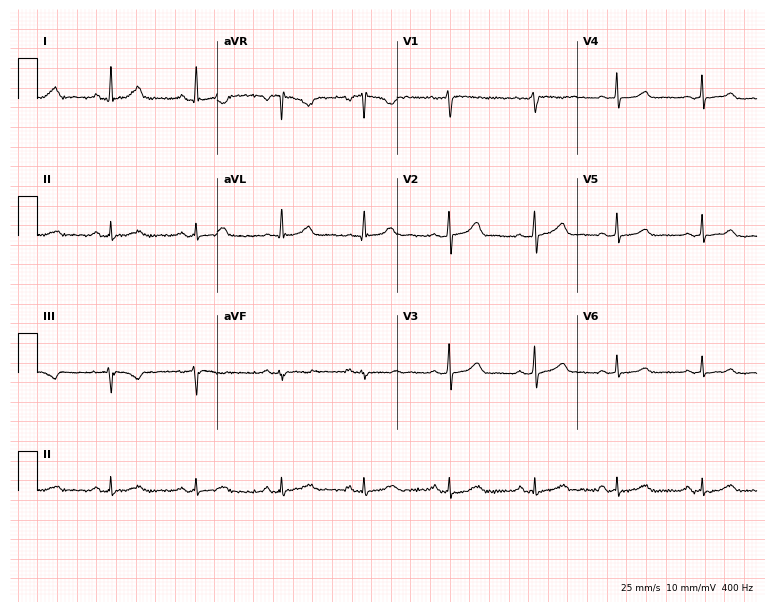
12-lead ECG (7.3-second recording at 400 Hz) from a 44-year-old female. Labelled as a normal ECG.